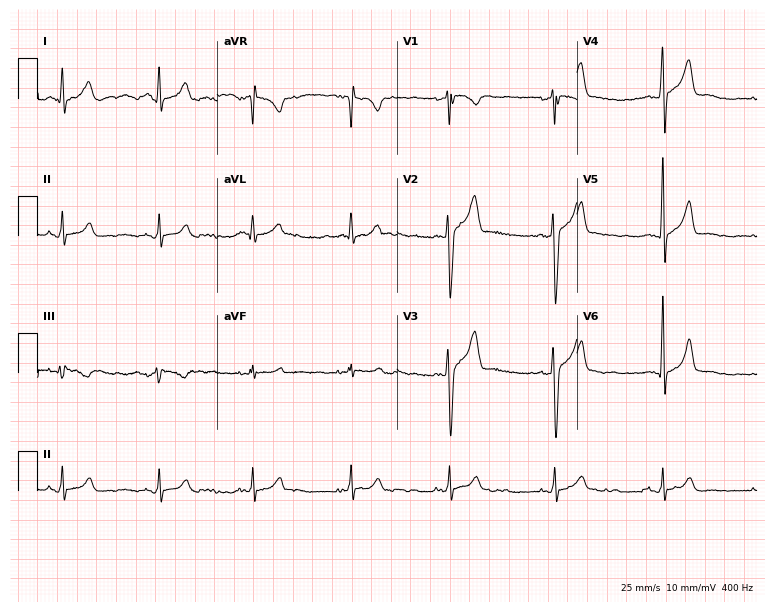
Electrocardiogram (7.3-second recording at 400 Hz), a male patient, 27 years old. Of the six screened findings (first-degree AV block, right bundle branch block, left bundle branch block, sinus bradycardia, atrial fibrillation, sinus tachycardia), none is recorded.